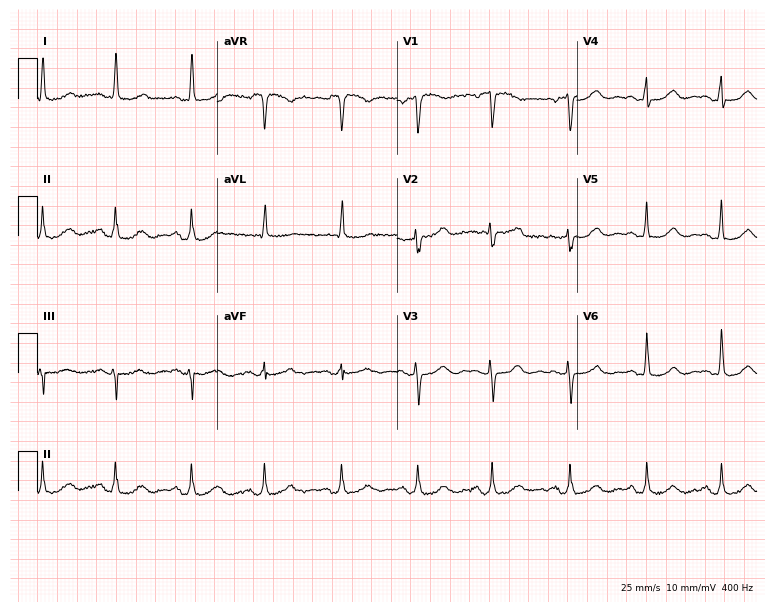
ECG — a 67-year-old female. Labelled as a normal ECG.